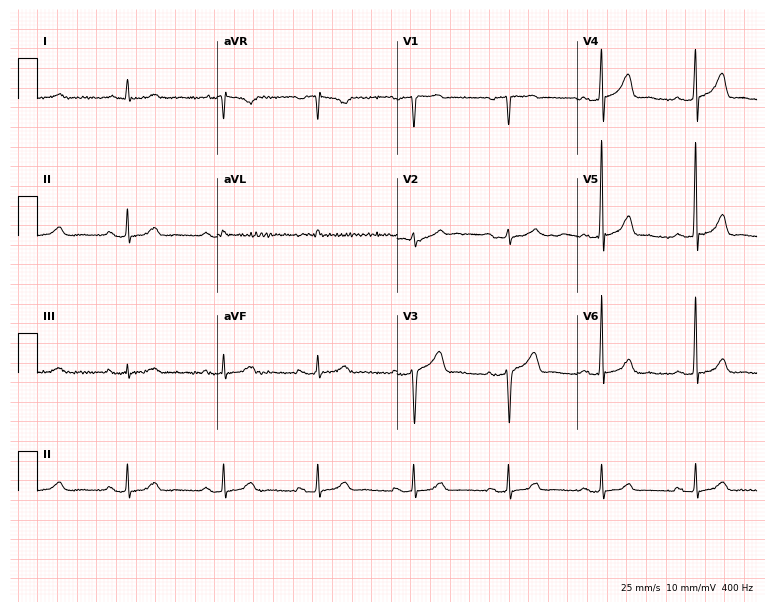
Electrocardiogram (7.3-second recording at 400 Hz), a 56-year-old man. Of the six screened findings (first-degree AV block, right bundle branch block, left bundle branch block, sinus bradycardia, atrial fibrillation, sinus tachycardia), none is recorded.